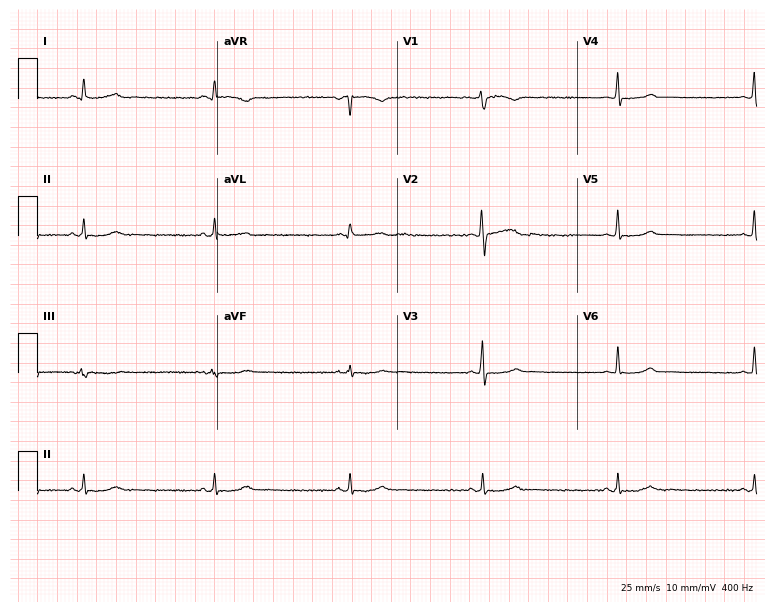
Standard 12-lead ECG recorded from a 44-year-old woman (7.3-second recording at 400 Hz). None of these six findings is recorded: first-degree AV block, right bundle branch block (RBBB), left bundle branch block (LBBB), sinus bradycardia, atrial fibrillation (AF), sinus tachycardia. Other findings, if any, are not listed.